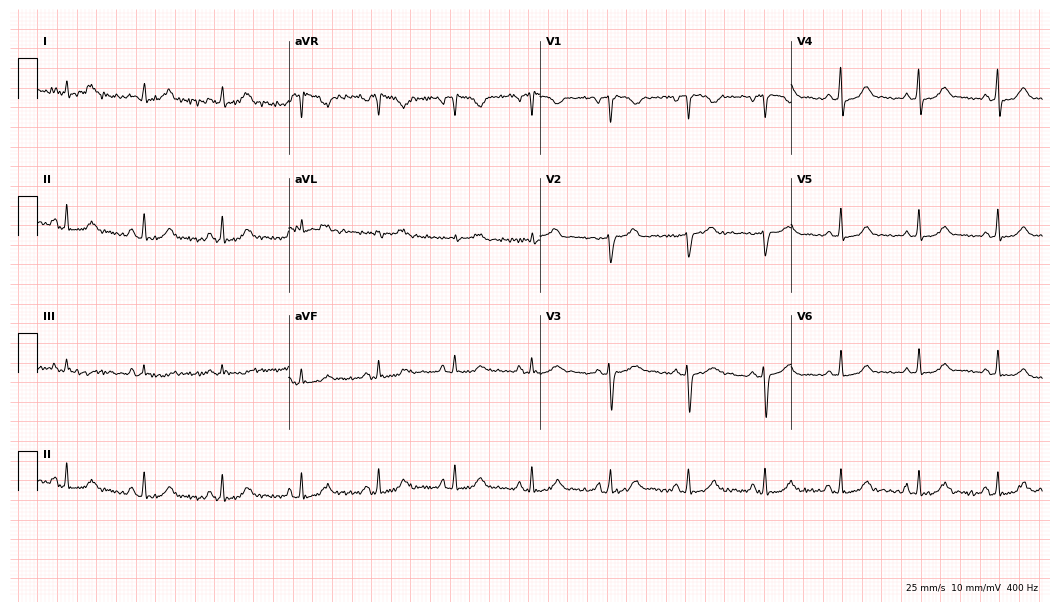
12-lead ECG (10.2-second recording at 400 Hz) from a female, 29 years old. Labelled as a normal ECG.